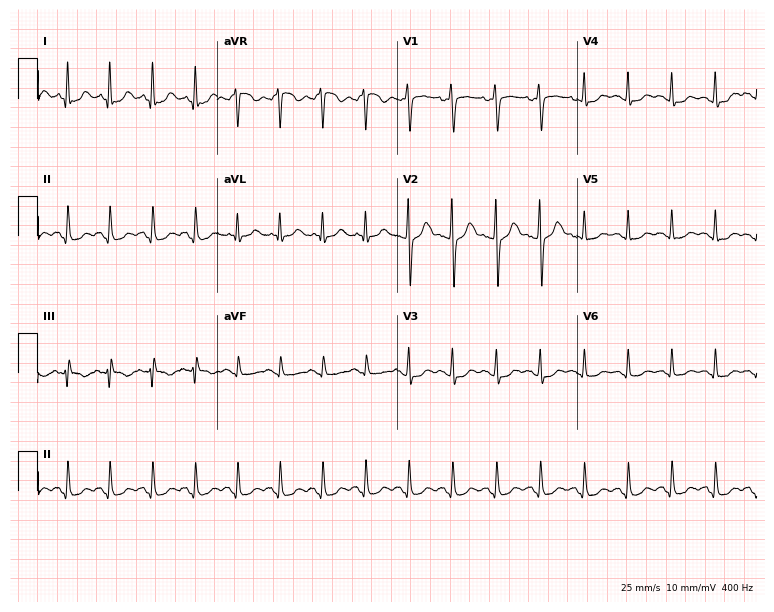
12-lead ECG from a 37-year-old female patient. Findings include sinus tachycardia (a sinus rate of 100 beats per minute or more).